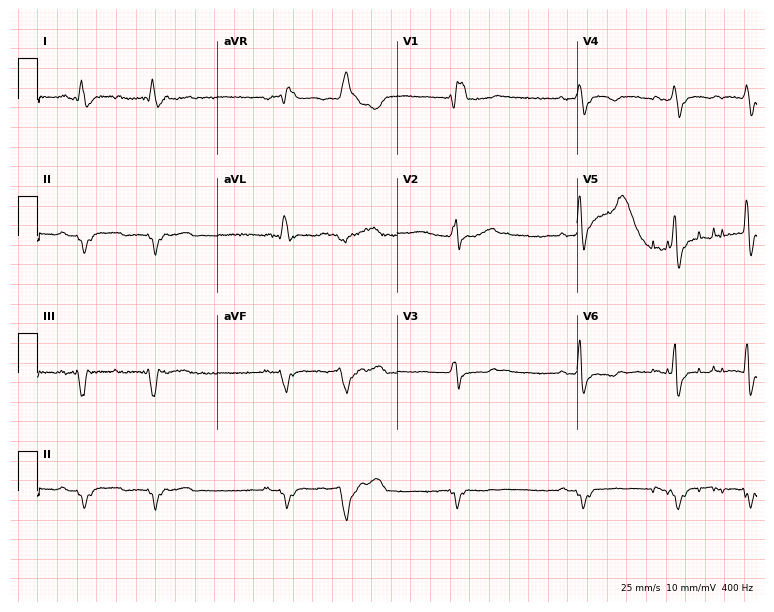
ECG — a 45-year-old male. Findings include right bundle branch block, atrial fibrillation.